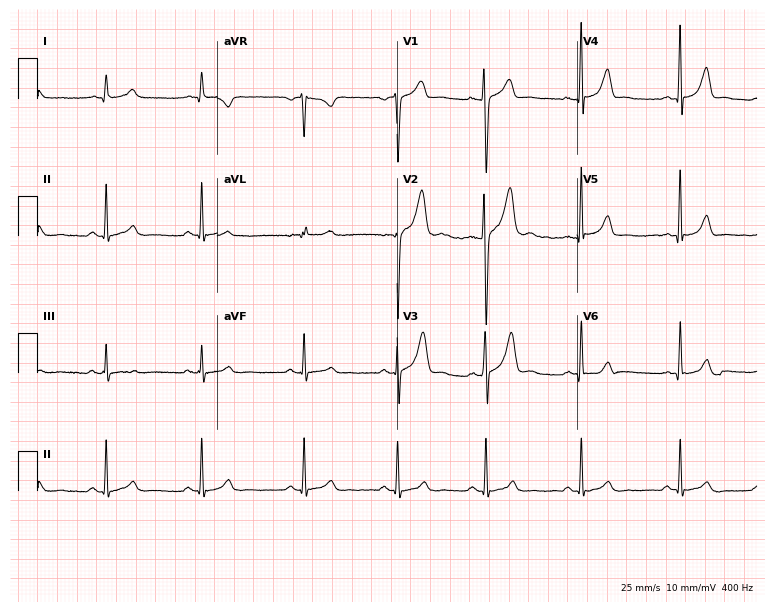
12-lead ECG (7.3-second recording at 400 Hz) from a man, 23 years old. Screened for six findings — first-degree AV block, right bundle branch block, left bundle branch block, sinus bradycardia, atrial fibrillation, sinus tachycardia — none is recorded. Only these six findings were labelled.